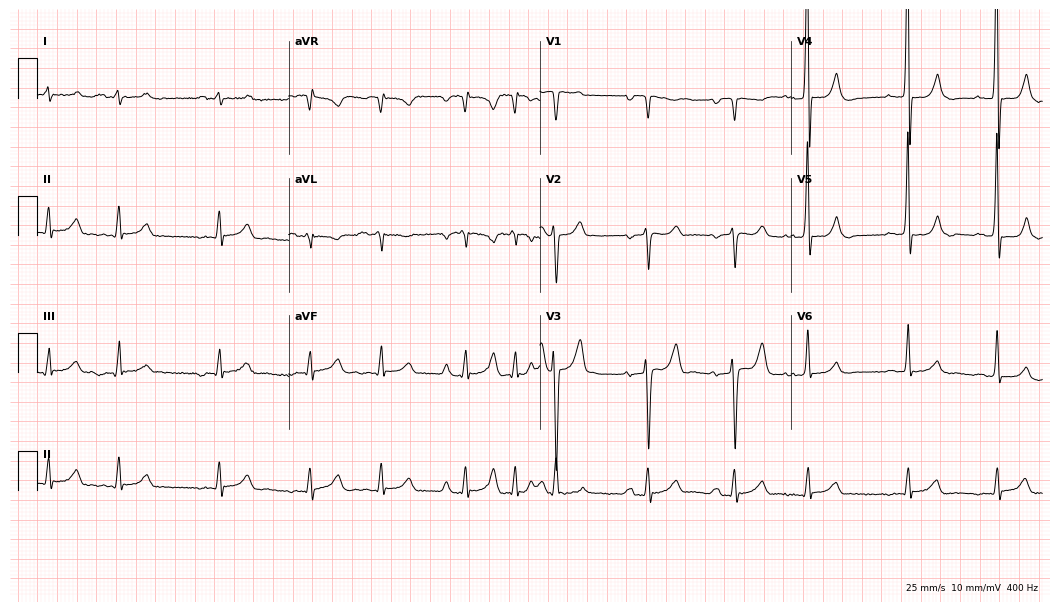
Resting 12-lead electrocardiogram. Patient: a 63-year-old male. None of these six findings is recorded: first-degree AV block, right bundle branch block, left bundle branch block, sinus bradycardia, atrial fibrillation, sinus tachycardia. Only these six findings were labelled.